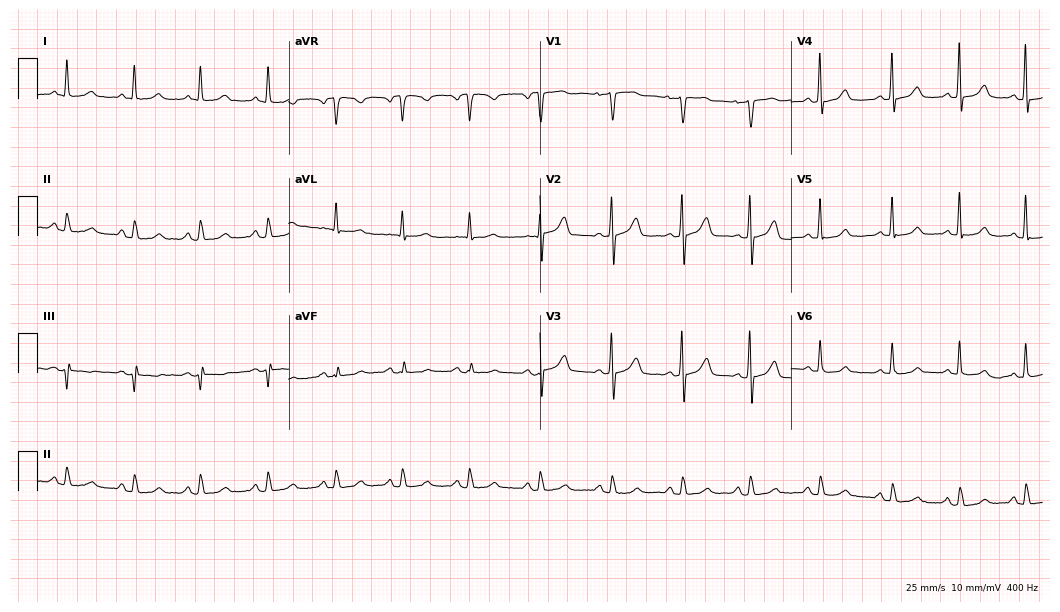
Electrocardiogram, a 63-year-old female. Overall reading on record: normal ECG.